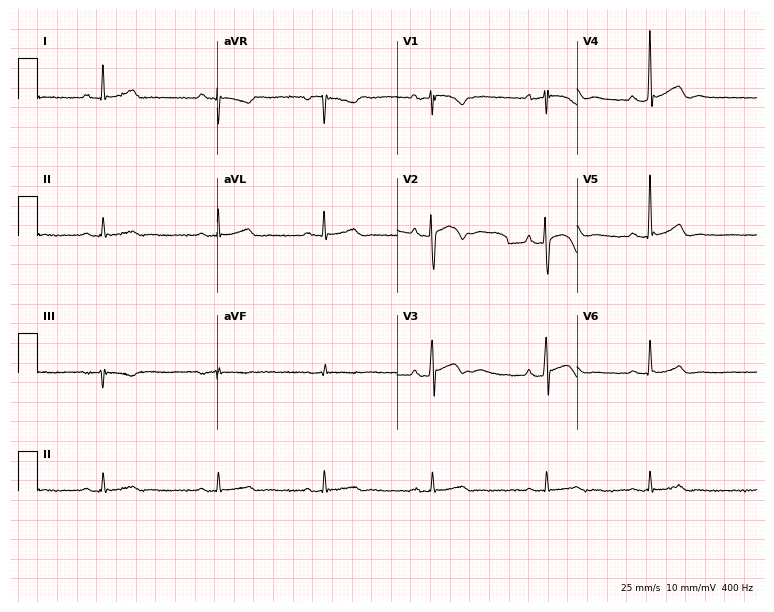
Standard 12-lead ECG recorded from a 47-year-old male (7.3-second recording at 400 Hz). Read as a normal ECG.